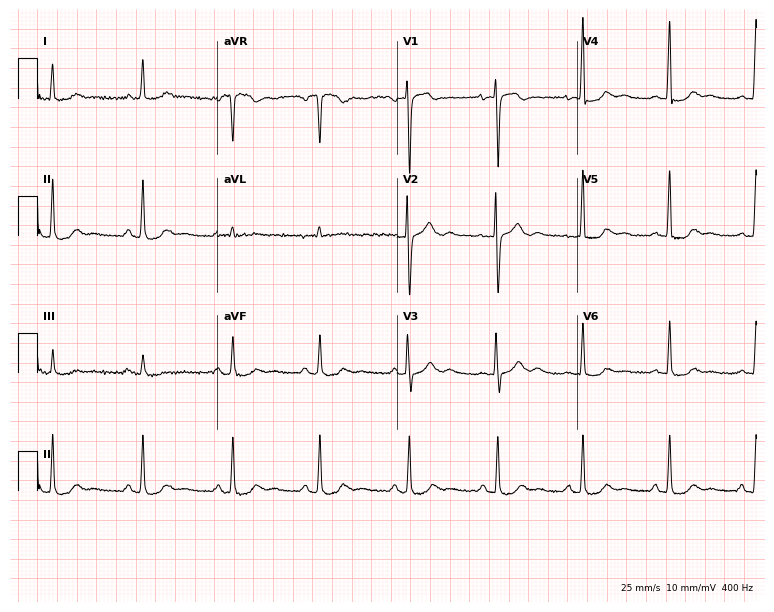
Standard 12-lead ECG recorded from a 44-year-old female patient (7.3-second recording at 400 Hz). None of these six findings is recorded: first-degree AV block, right bundle branch block, left bundle branch block, sinus bradycardia, atrial fibrillation, sinus tachycardia. Only these six findings were labelled.